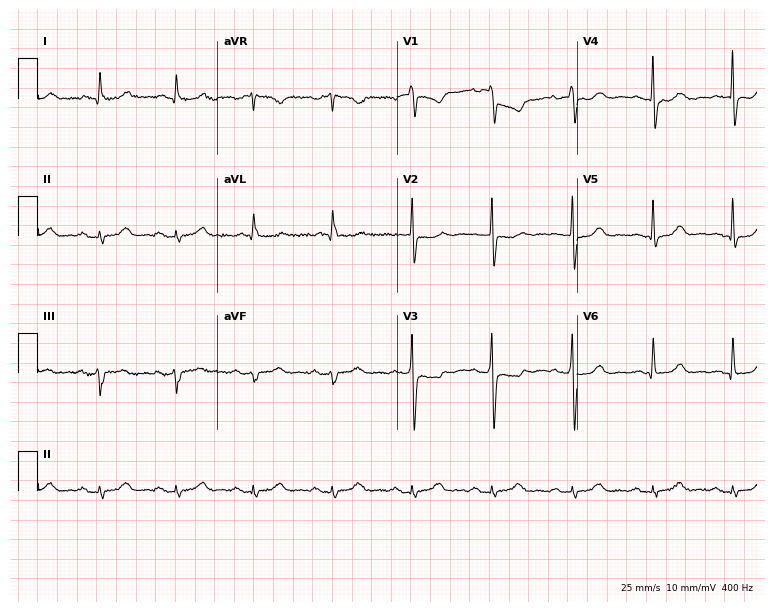
ECG — a 66-year-old female patient. Screened for six findings — first-degree AV block, right bundle branch block, left bundle branch block, sinus bradycardia, atrial fibrillation, sinus tachycardia — none is recorded.